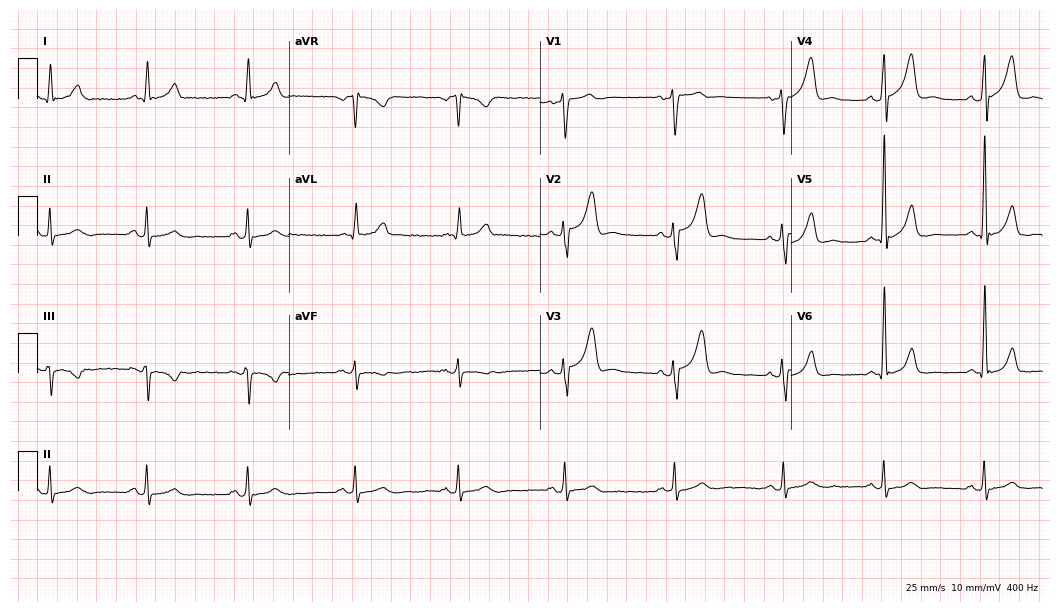
12-lead ECG (10.2-second recording at 400 Hz) from a 53-year-old male patient. Labelled as a normal ECG.